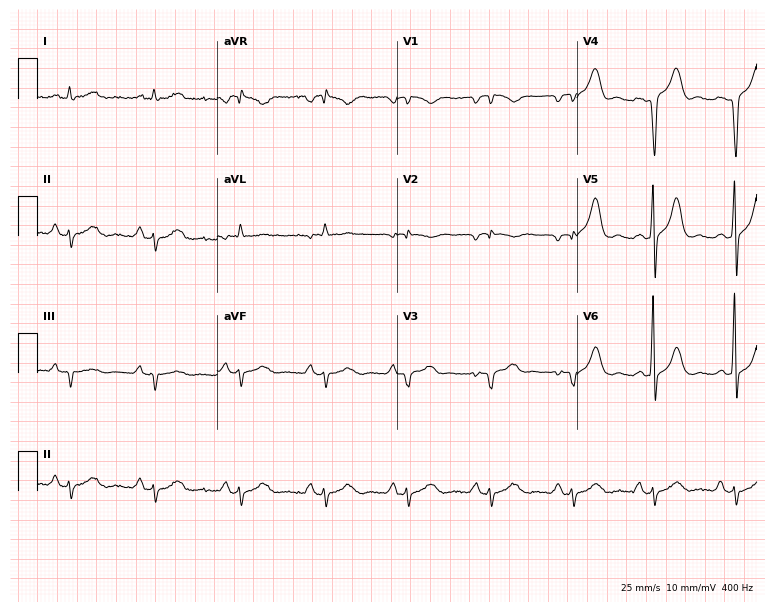
Resting 12-lead electrocardiogram (7.3-second recording at 400 Hz). Patient: a 67-year-old man. None of these six findings is recorded: first-degree AV block, right bundle branch block, left bundle branch block, sinus bradycardia, atrial fibrillation, sinus tachycardia. Other findings, if any, are not listed.